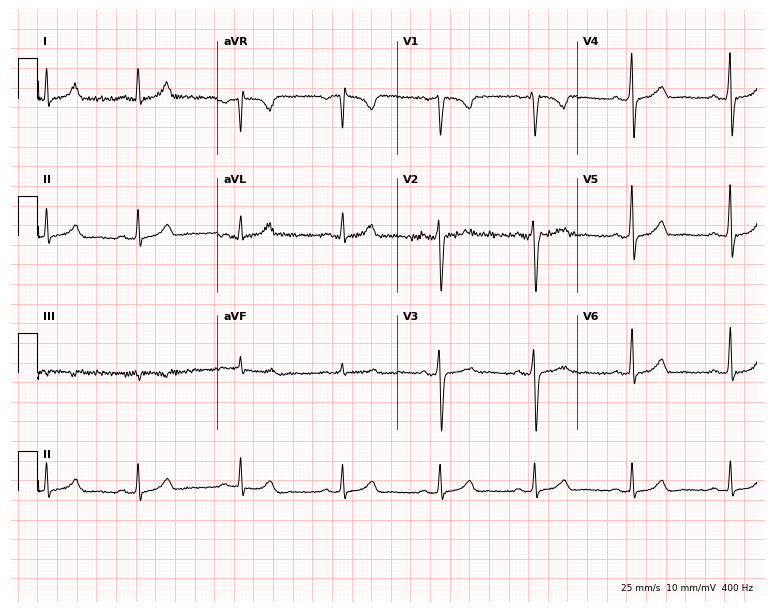
Standard 12-lead ECG recorded from a 38-year-old man. None of these six findings is recorded: first-degree AV block, right bundle branch block, left bundle branch block, sinus bradycardia, atrial fibrillation, sinus tachycardia. Other findings, if any, are not listed.